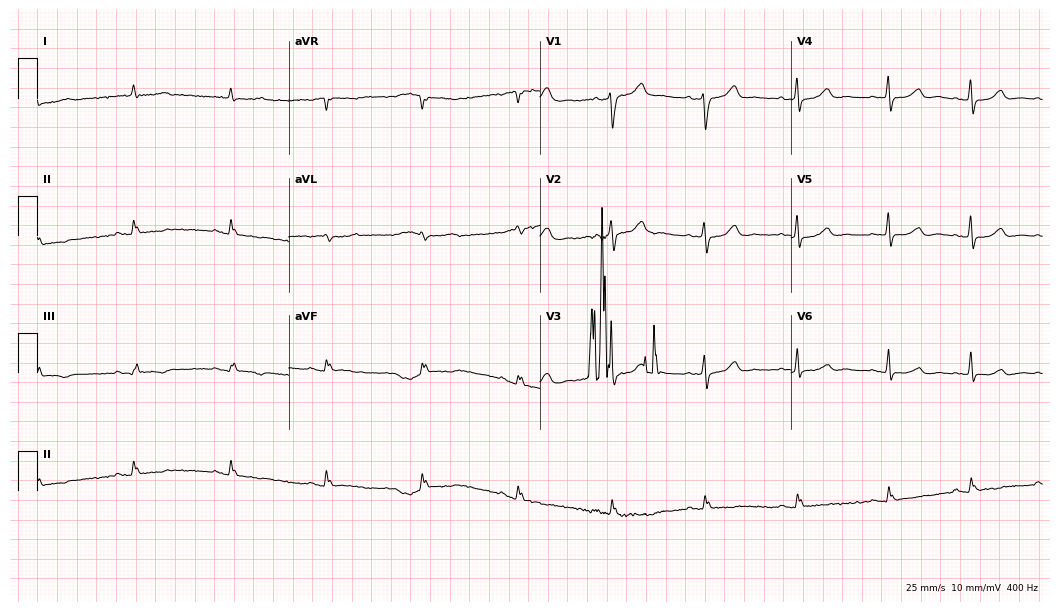
12-lead ECG from a 75-year-old male patient. Screened for six findings — first-degree AV block, right bundle branch block, left bundle branch block, sinus bradycardia, atrial fibrillation, sinus tachycardia — none is recorded.